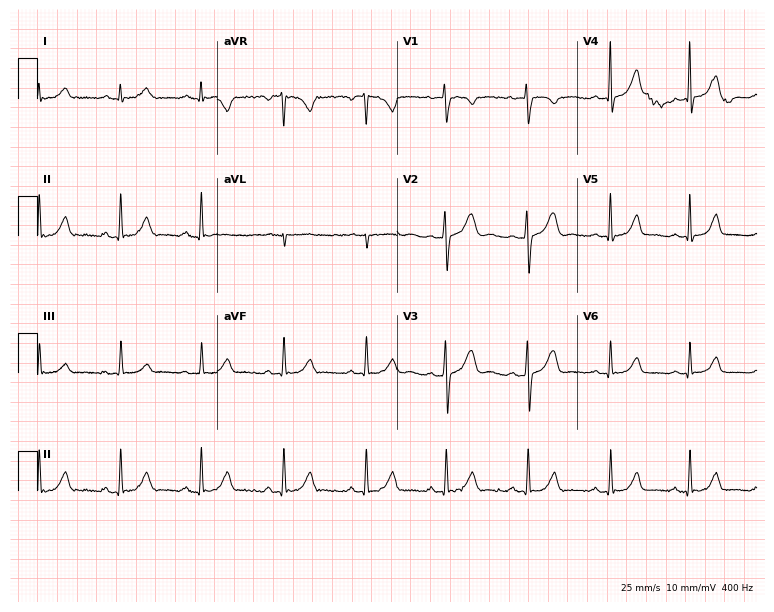
12-lead ECG from a female patient, 35 years old. Recorded interpretation: within normal limits.